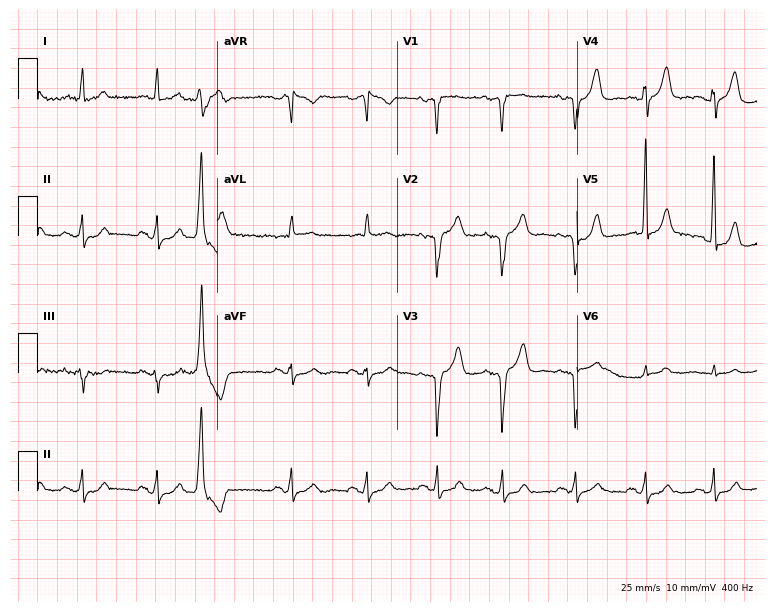
12-lead ECG from a male patient, 83 years old. Screened for six findings — first-degree AV block, right bundle branch block, left bundle branch block, sinus bradycardia, atrial fibrillation, sinus tachycardia — none is recorded.